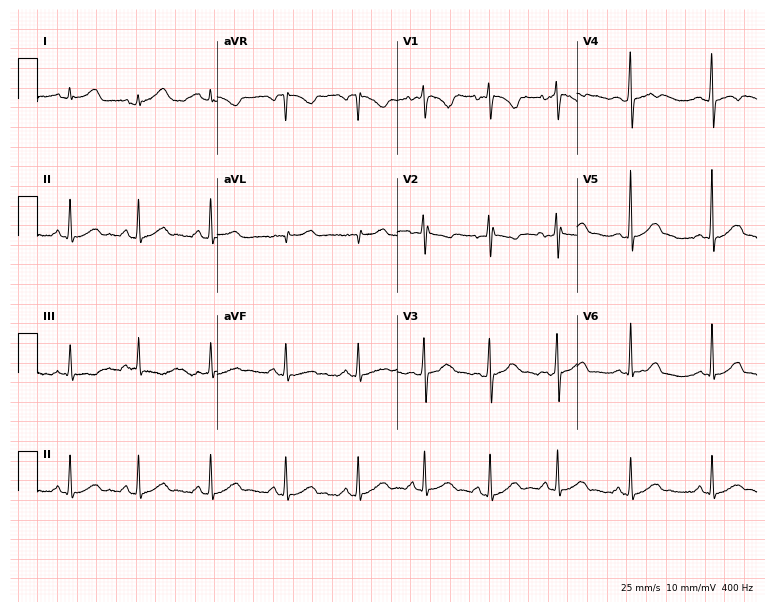
12-lead ECG from a woman, 25 years old (7.3-second recording at 400 Hz). Recorded interpretation: within normal limits.